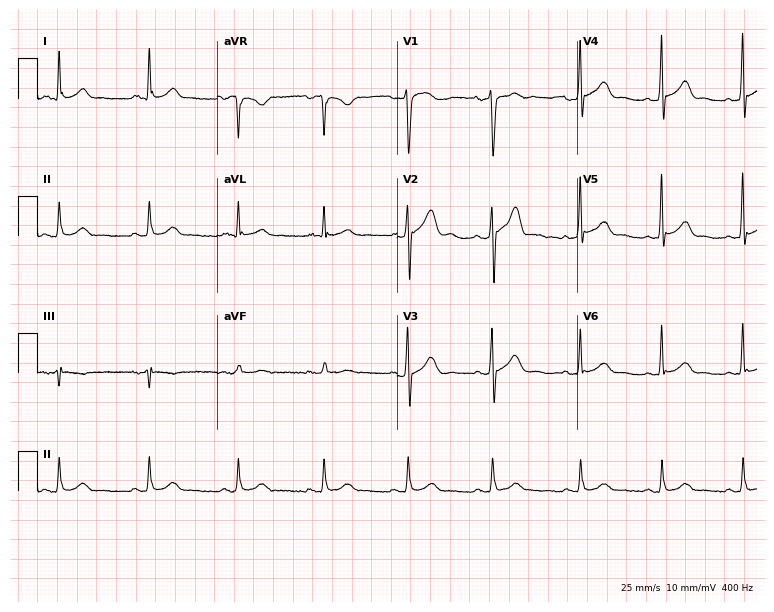
12-lead ECG from a man, 54 years old. Recorded interpretation: within normal limits.